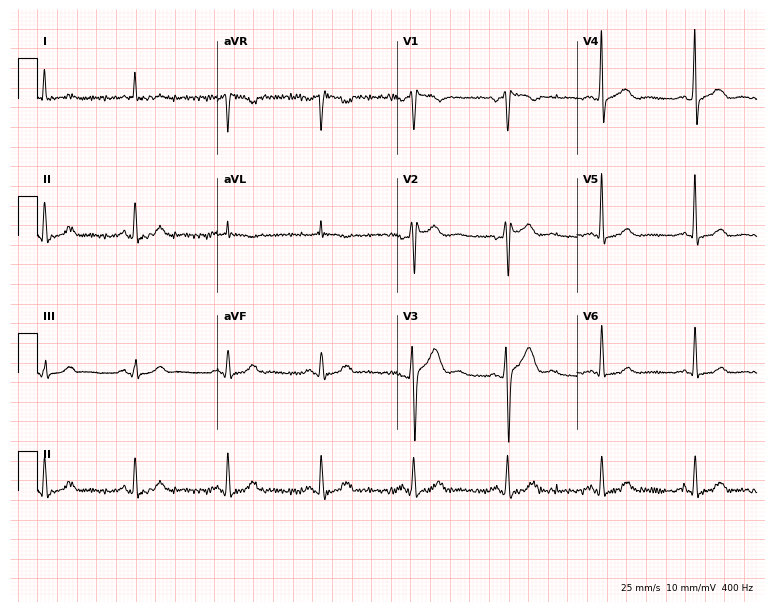
Electrocardiogram (7.3-second recording at 400 Hz), a man, 37 years old. Overall reading on record: normal ECG.